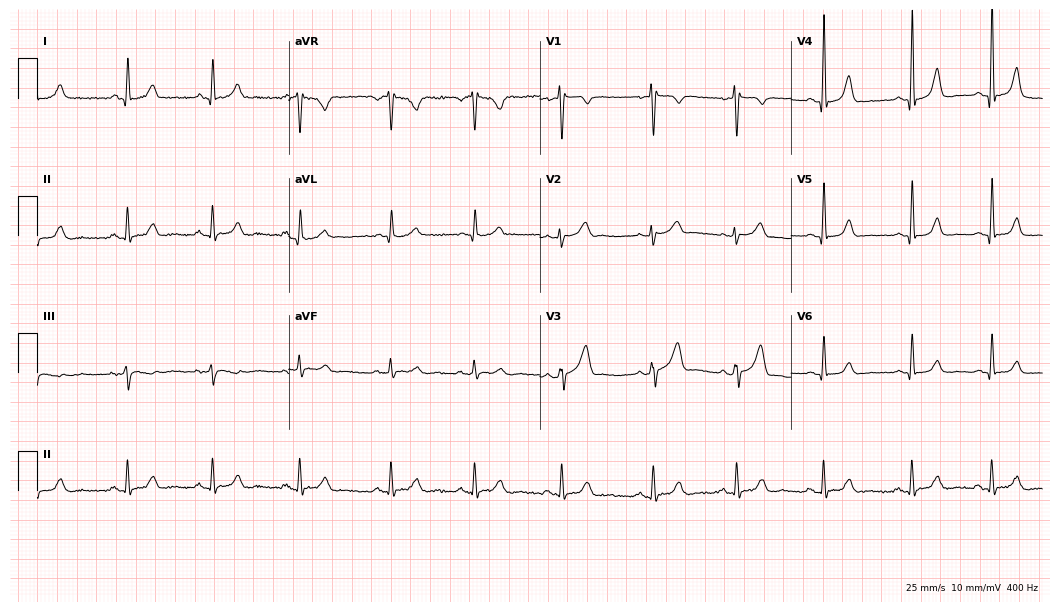
12-lead ECG from a female patient, 44 years old (10.2-second recording at 400 Hz). No first-degree AV block, right bundle branch block (RBBB), left bundle branch block (LBBB), sinus bradycardia, atrial fibrillation (AF) or sinus tachycardia recorded for this tracing. Findings outside these six are not listed.